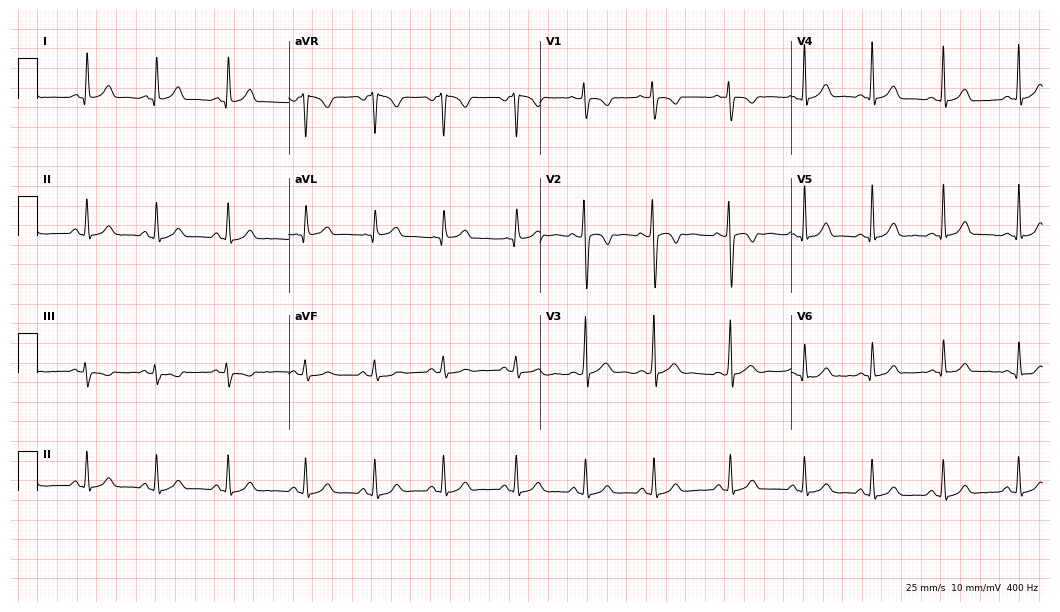
Electrocardiogram, a woman, 26 years old. Overall reading on record: normal ECG.